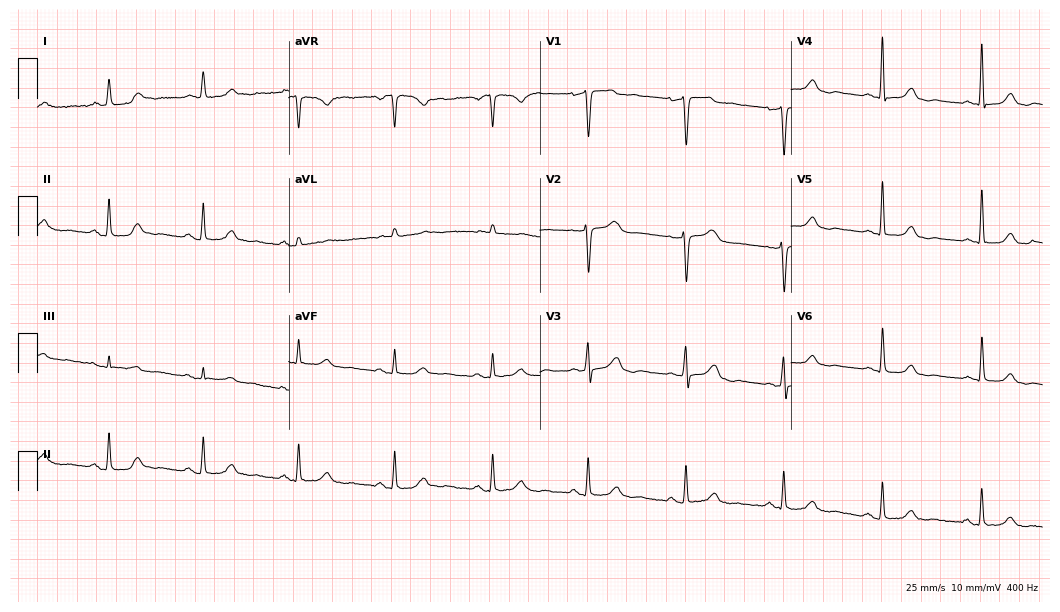
12-lead ECG from a woman, 53 years old. Screened for six findings — first-degree AV block, right bundle branch block, left bundle branch block, sinus bradycardia, atrial fibrillation, sinus tachycardia — none is recorded. Findings outside these six are not listed.